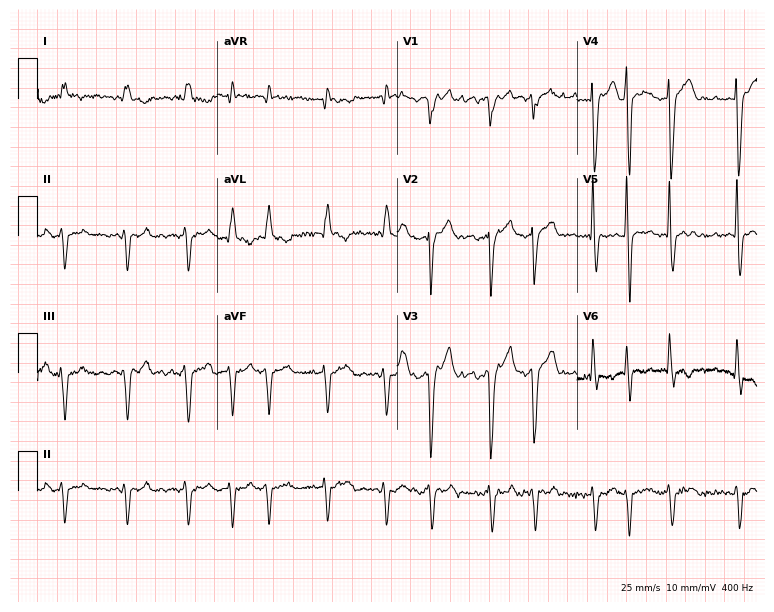
Standard 12-lead ECG recorded from a male patient, 72 years old. The tracing shows atrial fibrillation, sinus tachycardia (a sinus rate of 100 beats per minute or more).